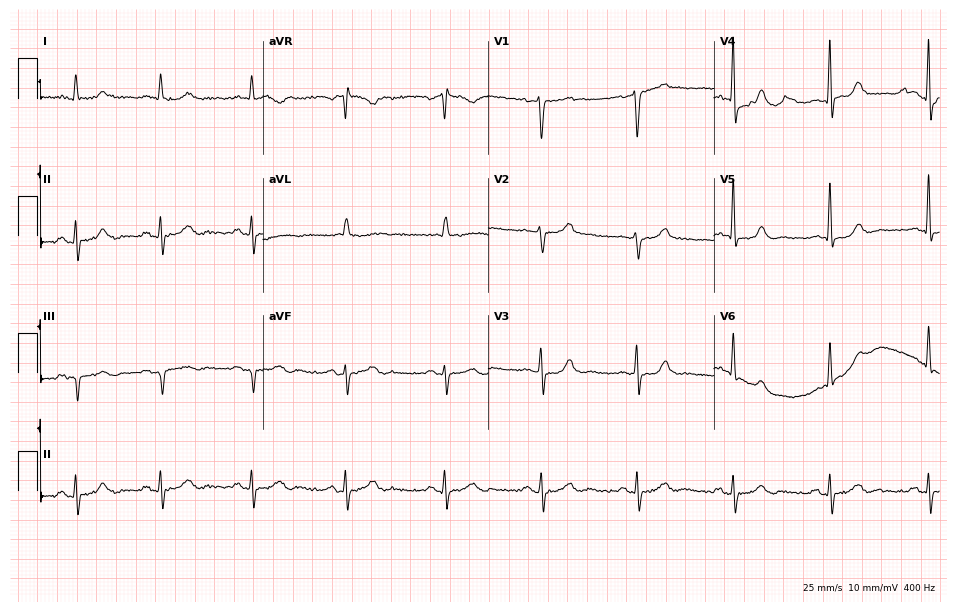
ECG (9.2-second recording at 400 Hz) — a male patient, 64 years old. Screened for six findings — first-degree AV block, right bundle branch block (RBBB), left bundle branch block (LBBB), sinus bradycardia, atrial fibrillation (AF), sinus tachycardia — none is recorded. Other findings, if any, are not listed.